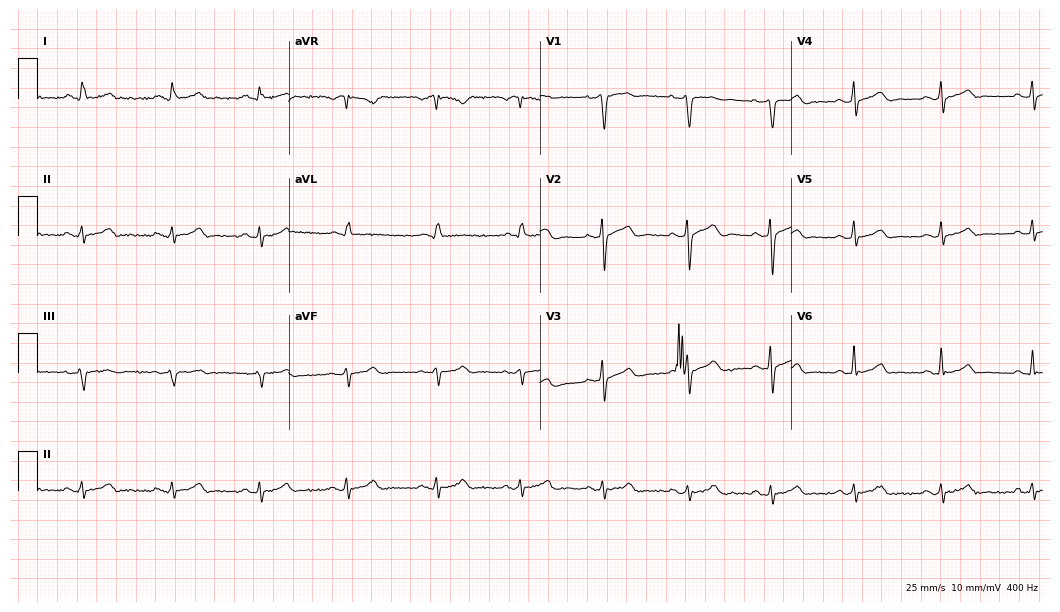
Standard 12-lead ECG recorded from a male patient, 46 years old. Read as a normal ECG.